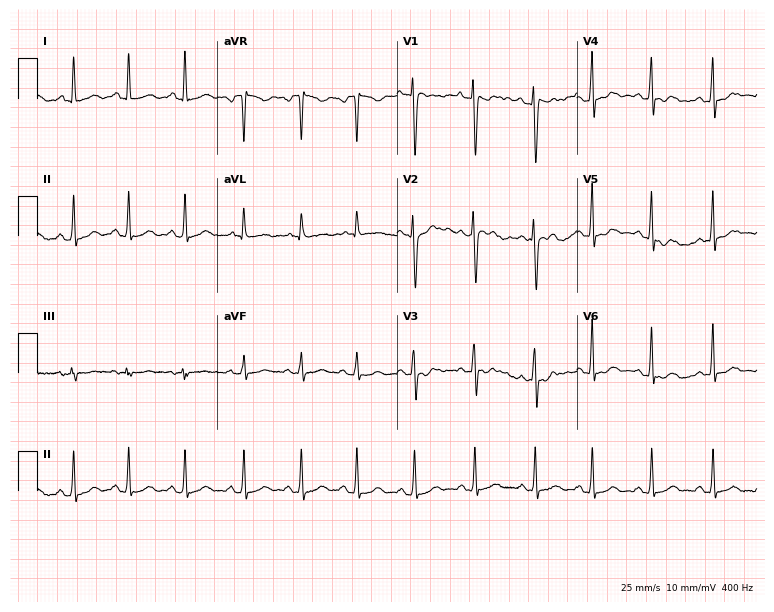
12-lead ECG from a 30-year-old female (7.3-second recording at 400 Hz). No first-degree AV block, right bundle branch block, left bundle branch block, sinus bradycardia, atrial fibrillation or sinus tachycardia recorded for this tracing.